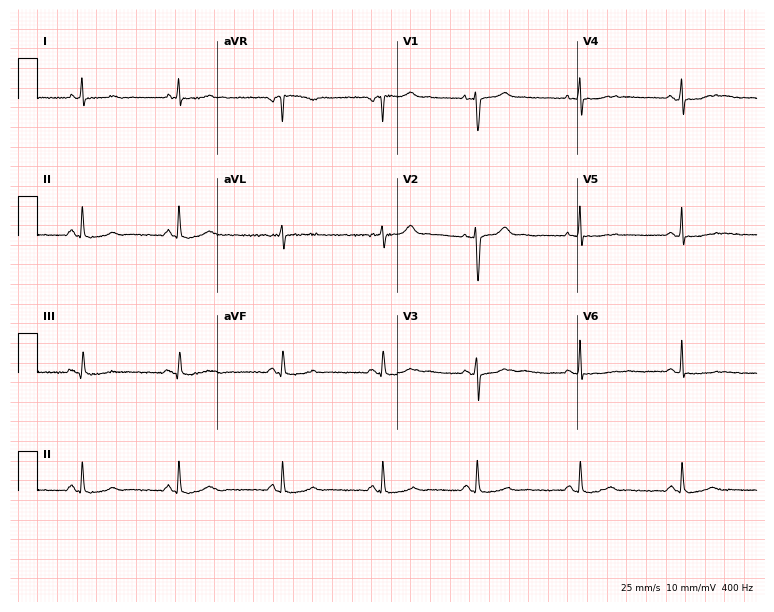
Electrocardiogram (7.3-second recording at 400 Hz), a female, 38 years old. Of the six screened findings (first-degree AV block, right bundle branch block (RBBB), left bundle branch block (LBBB), sinus bradycardia, atrial fibrillation (AF), sinus tachycardia), none is recorded. Other findings, if any, are not listed.